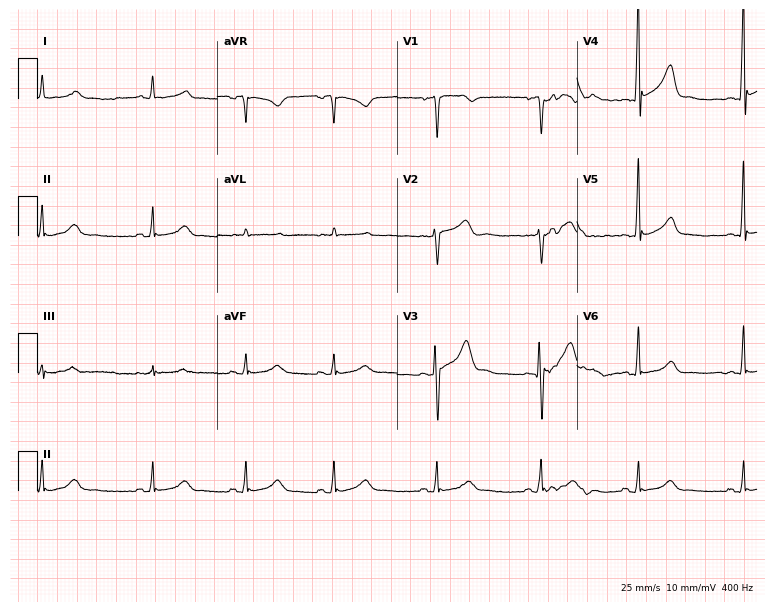
Resting 12-lead electrocardiogram. Patient: a man, 47 years old. None of these six findings is recorded: first-degree AV block, right bundle branch block (RBBB), left bundle branch block (LBBB), sinus bradycardia, atrial fibrillation (AF), sinus tachycardia. Only these six findings were labelled.